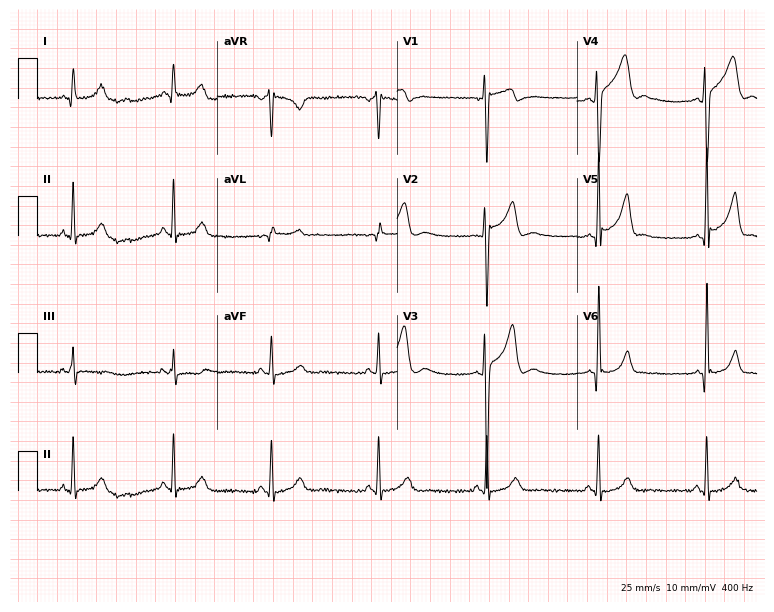
ECG — a 20-year-old man. Labelled as a normal ECG.